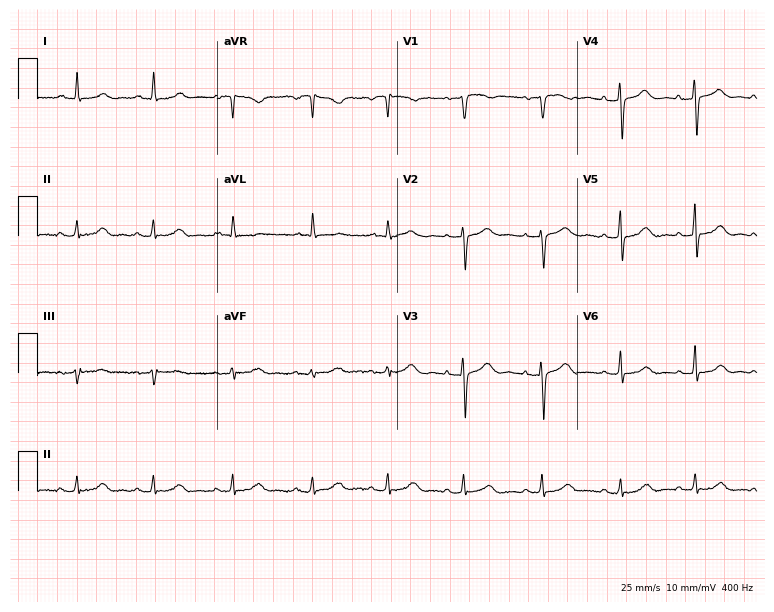
12-lead ECG from a 64-year-old woman (7.3-second recording at 400 Hz). Recorded interpretation: within normal limits.